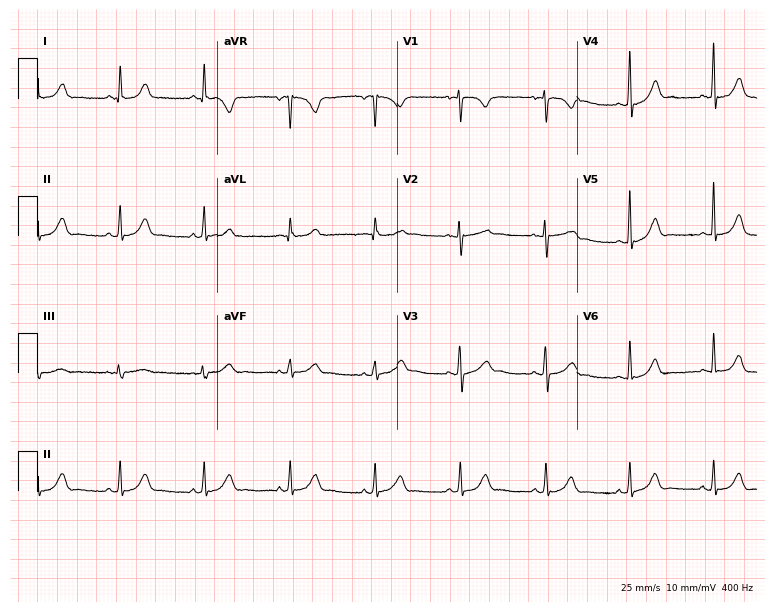
Electrocardiogram, a 41-year-old woman. Of the six screened findings (first-degree AV block, right bundle branch block, left bundle branch block, sinus bradycardia, atrial fibrillation, sinus tachycardia), none is recorded. Findings outside these six are not listed.